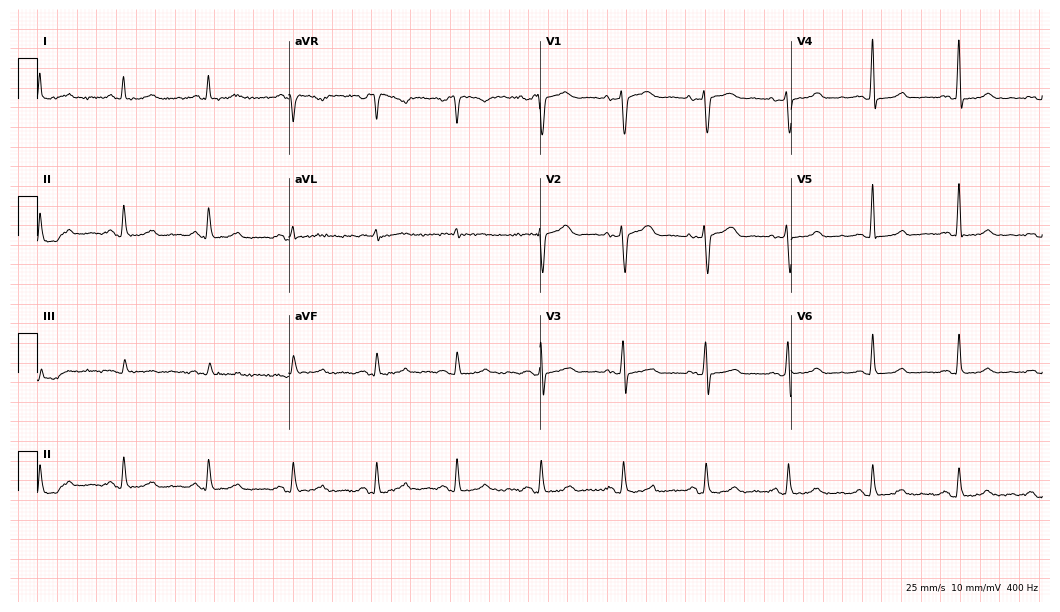
12-lead ECG (10.2-second recording at 400 Hz) from a 46-year-old female. Screened for six findings — first-degree AV block, right bundle branch block, left bundle branch block, sinus bradycardia, atrial fibrillation, sinus tachycardia — none is recorded.